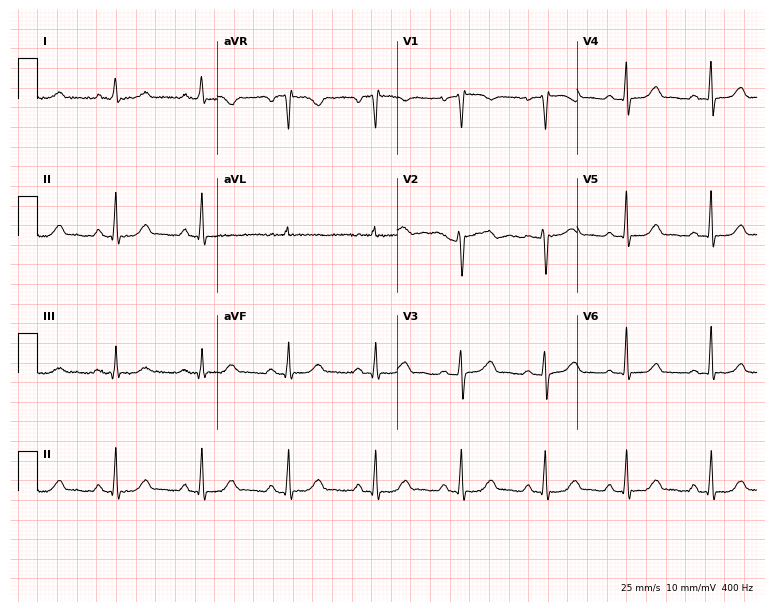
12-lead ECG from a 60-year-old woman (7.3-second recording at 400 Hz). Recorded interpretation: within normal limits.